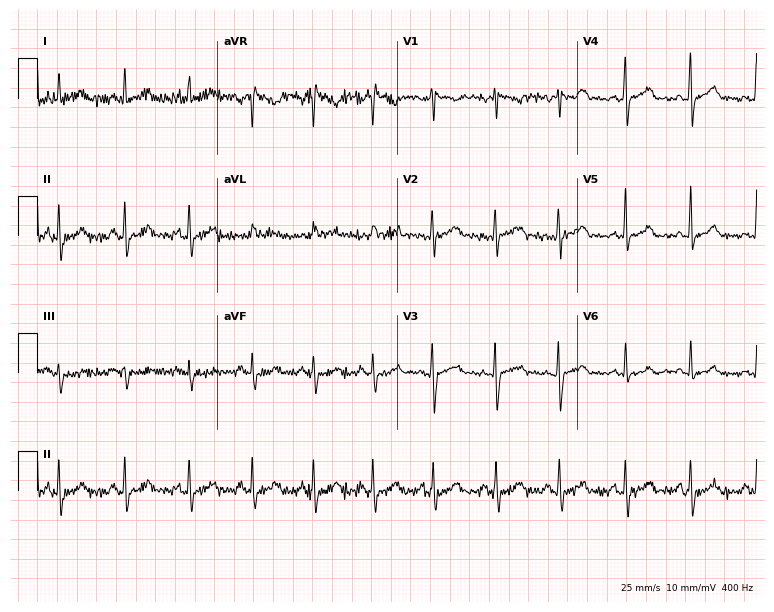
ECG (7.3-second recording at 400 Hz) — a woman, 22 years old. Labelled as a normal ECG.